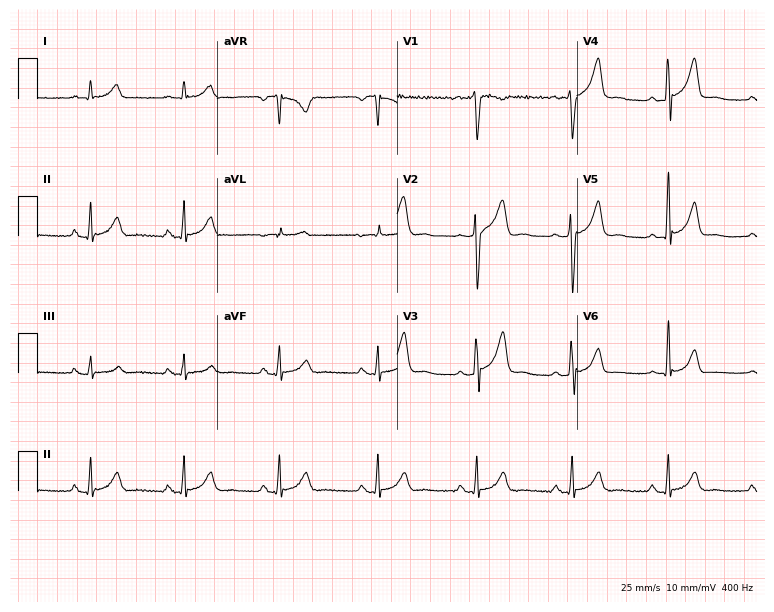
Standard 12-lead ECG recorded from a man, 30 years old. Read as a normal ECG.